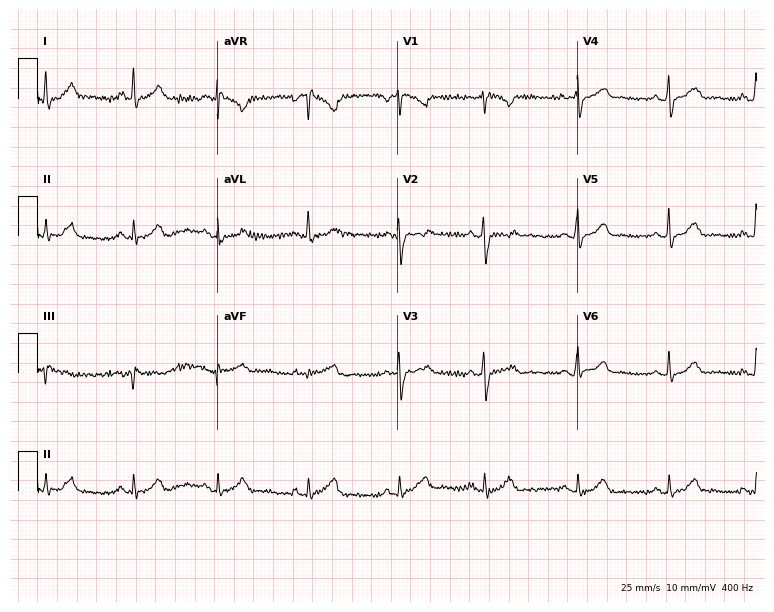
ECG — a female patient, 37 years old. Labelled as a normal ECG.